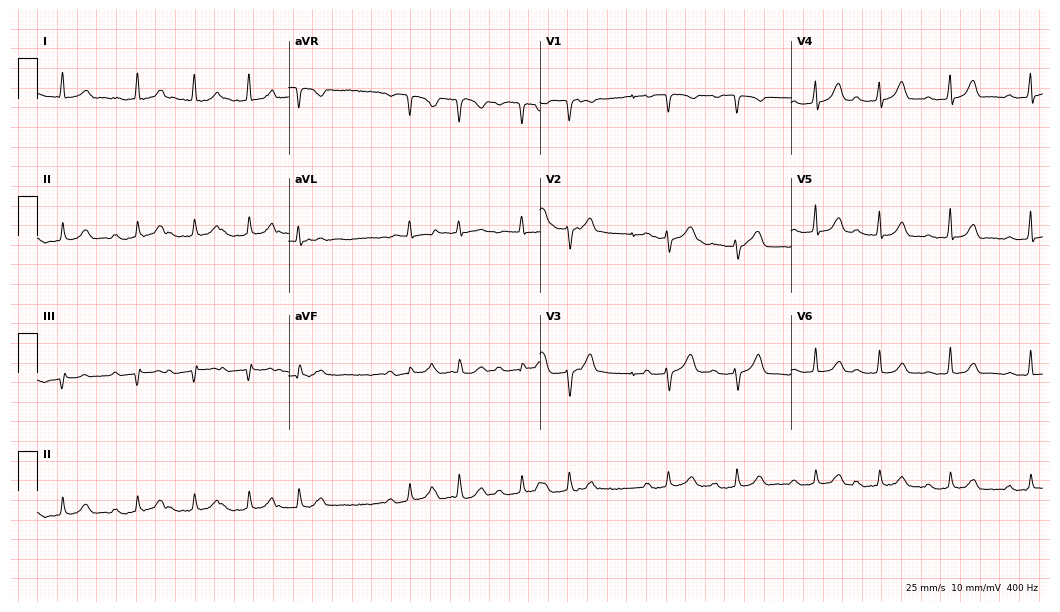
Standard 12-lead ECG recorded from an 86-year-old male patient. The tracing shows first-degree AV block.